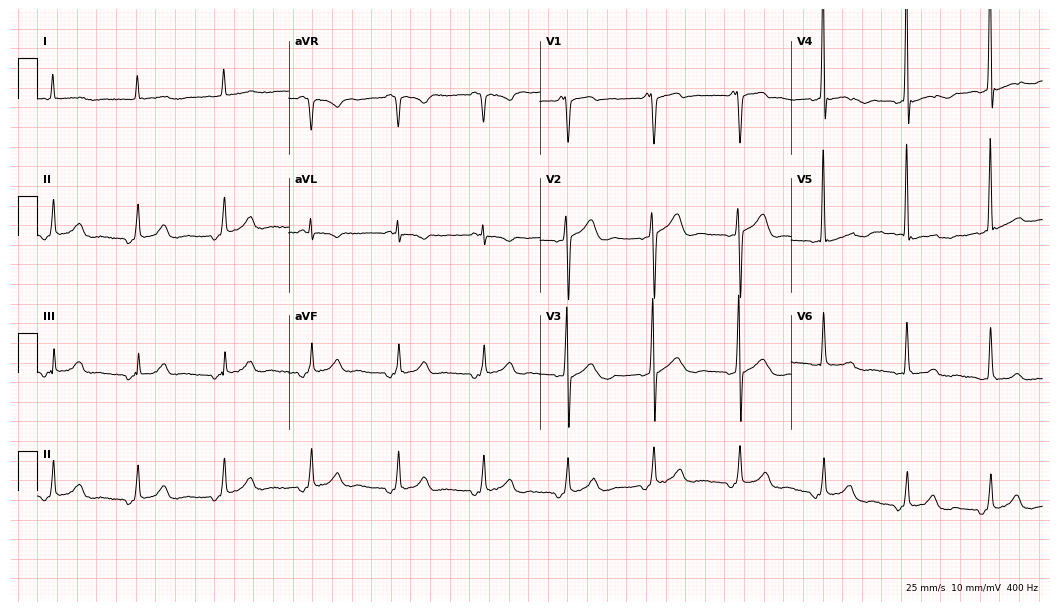
Electrocardiogram (10.2-second recording at 400 Hz), a male patient, 60 years old. Of the six screened findings (first-degree AV block, right bundle branch block (RBBB), left bundle branch block (LBBB), sinus bradycardia, atrial fibrillation (AF), sinus tachycardia), none is recorded.